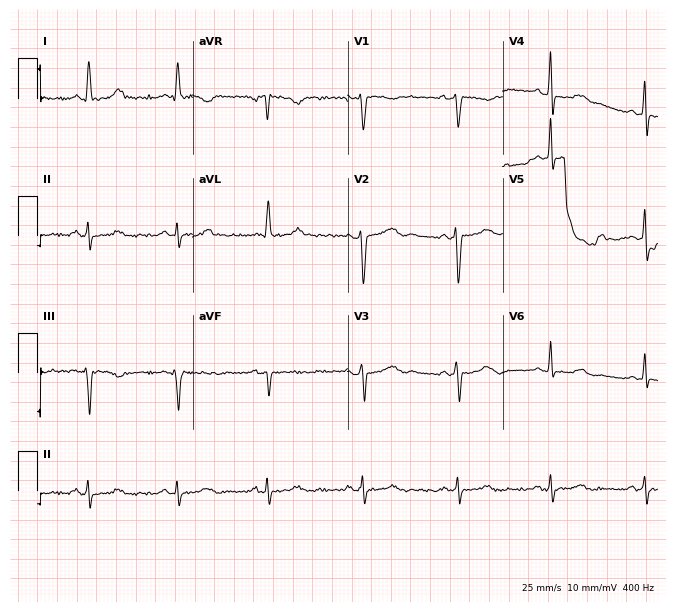
Standard 12-lead ECG recorded from a 58-year-old male. None of these six findings is recorded: first-degree AV block, right bundle branch block (RBBB), left bundle branch block (LBBB), sinus bradycardia, atrial fibrillation (AF), sinus tachycardia.